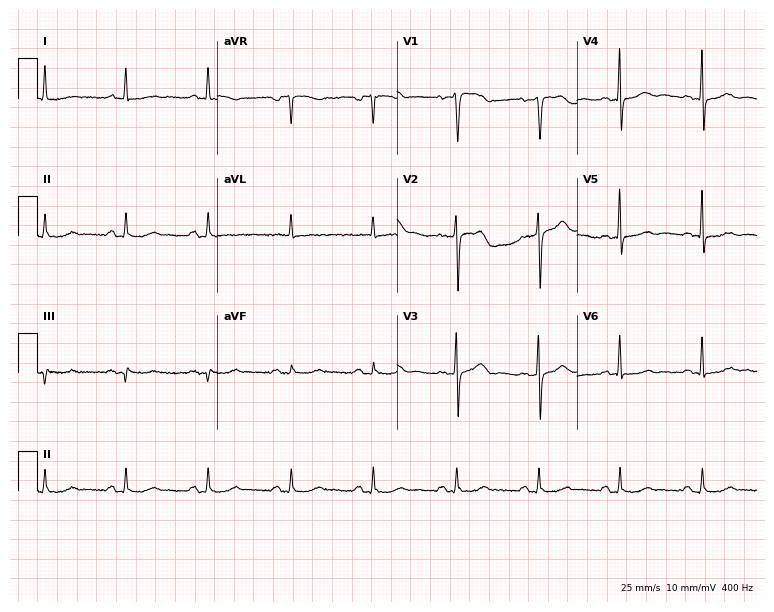
ECG (7.3-second recording at 400 Hz) — a 69-year-old female patient. Screened for six findings — first-degree AV block, right bundle branch block (RBBB), left bundle branch block (LBBB), sinus bradycardia, atrial fibrillation (AF), sinus tachycardia — none is recorded. Findings outside these six are not listed.